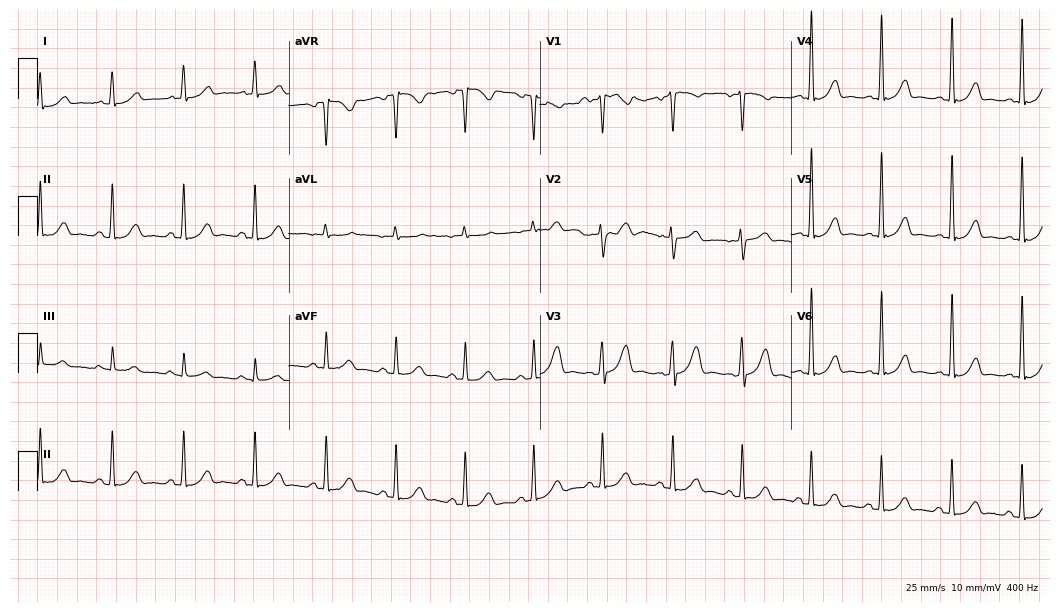
ECG — a female patient, 38 years old. Labelled as a normal ECG.